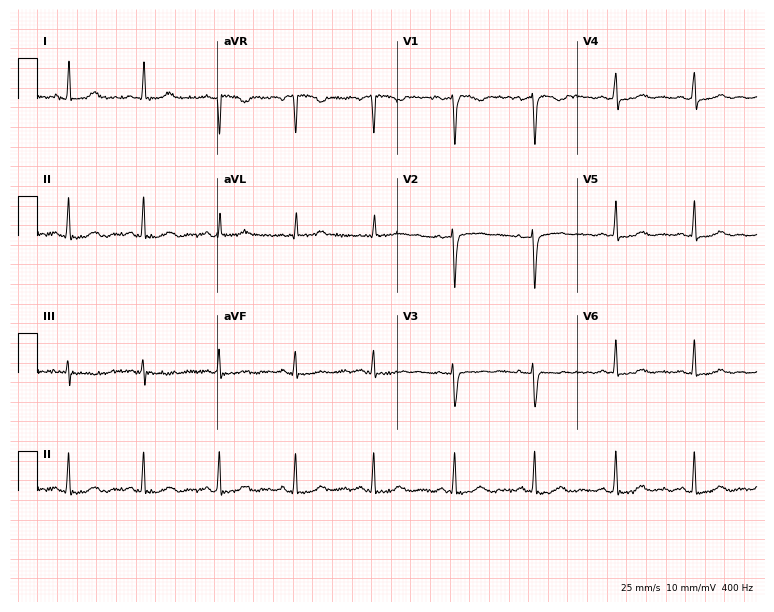
Standard 12-lead ECG recorded from a 42-year-old female patient (7.3-second recording at 400 Hz). Read as a normal ECG.